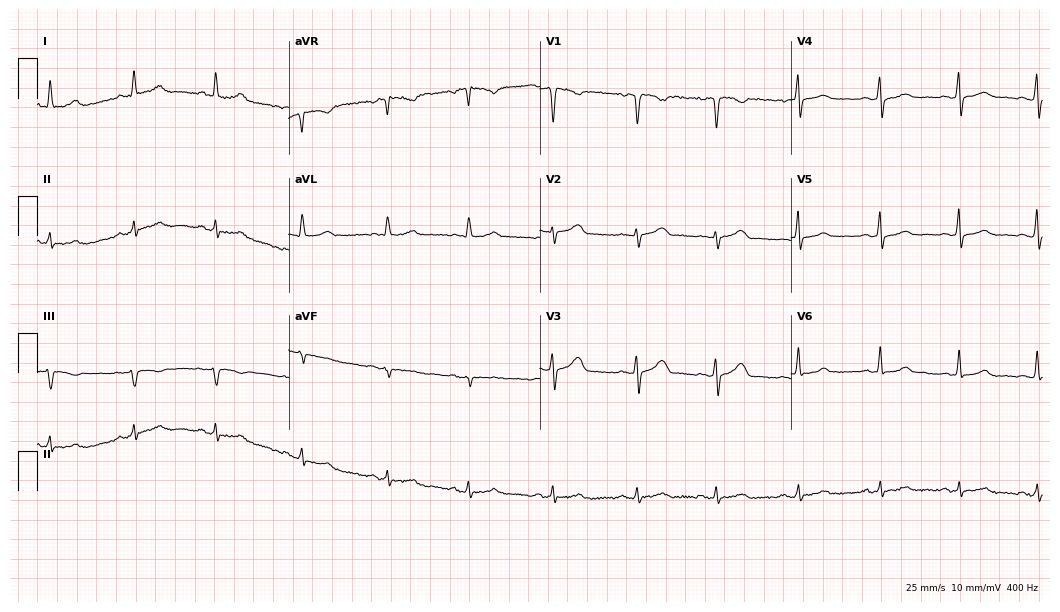
Resting 12-lead electrocardiogram (10.2-second recording at 400 Hz). Patient: a 41-year-old woman. Read as a normal ECG.